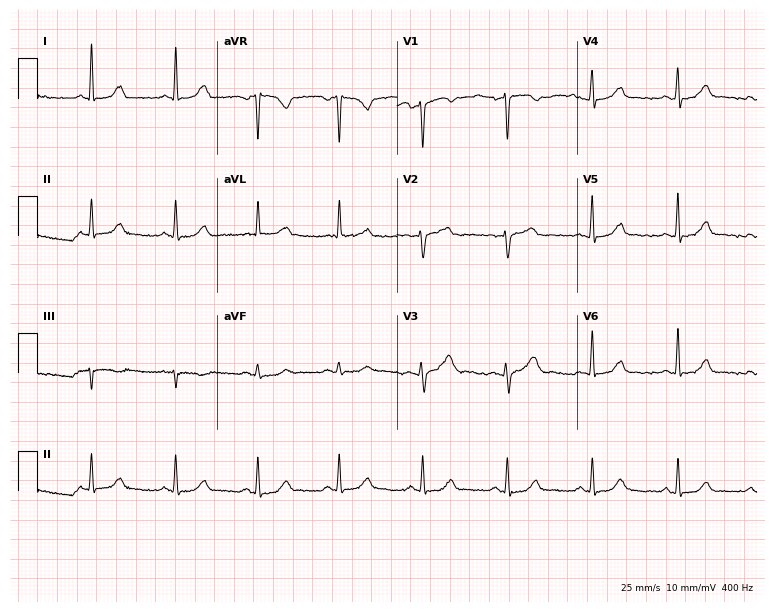
Resting 12-lead electrocardiogram. Patient: a 46-year-old female. None of these six findings is recorded: first-degree AV block, right bundle branch block, left bundle branch block, sinus bradycardia, atrial fibrillation, sinus tachycardia. Only these six findings were labelled.